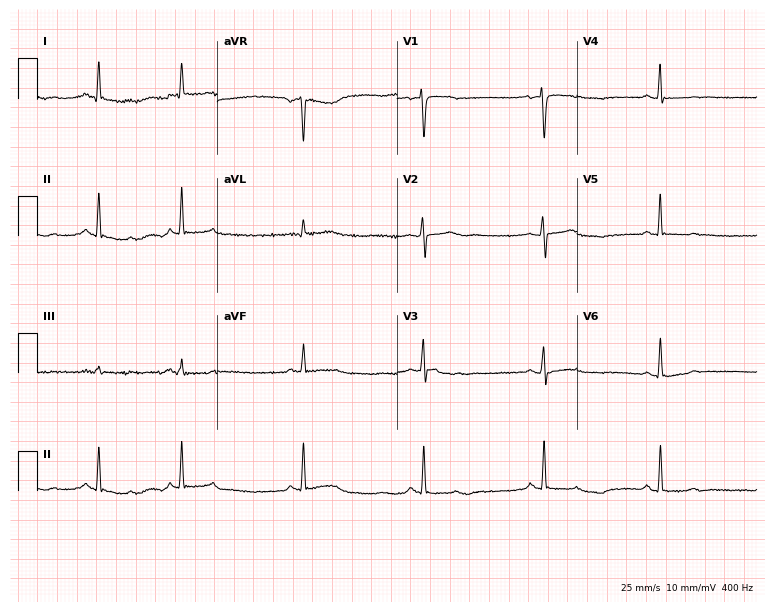
12-lead ECG (7.3-second recording at 400 Hz) from a woman, 37 years old. Screened for six findings — first-degree AV block, right bundle branch block, left bundle branch block, sinus bradycardia, atrial fibrillation, sinus tachycardia — none is recorded. Other findings, if any, are not listed.